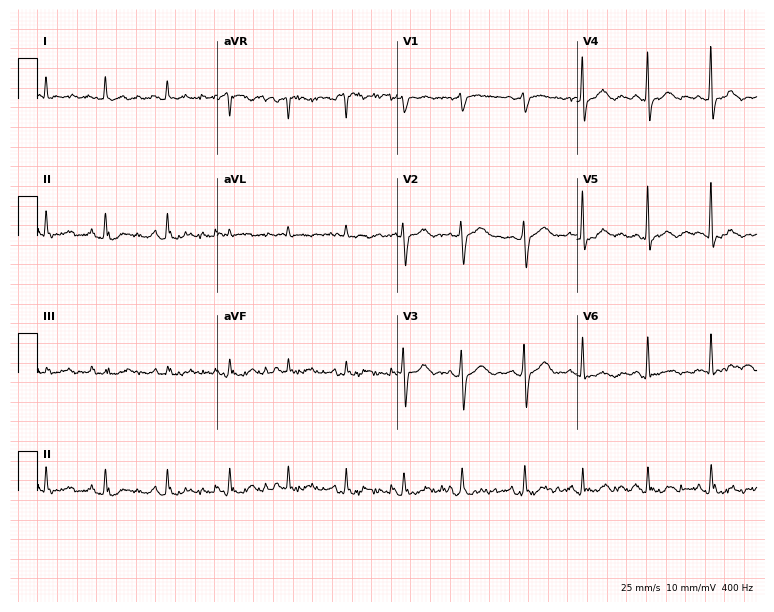
Resting 12-lead electrocardiogram. Patient: a male, 90 years old or older. None of these six findings is recorded: first-degree AV block, right bundle branch block, left bundle branch block, sinus bradycardia, atrial fibrillation, sinus tachycardia. Only these six findings were labelled.